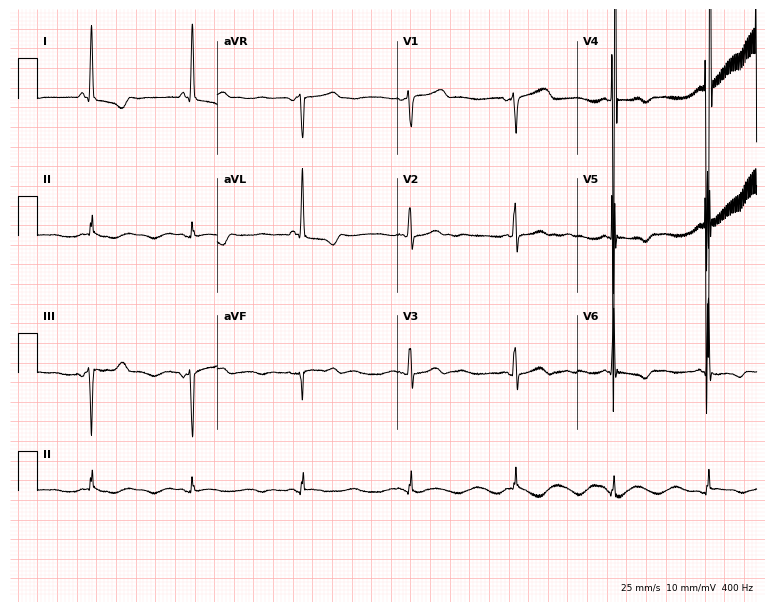
Resting 12-lead electrocardiogram (7.3-second recording at 400 Hz). Patient: a woman, 57 years old. None of these six findings is recorded: first-degree AV block, right bundle branch block, left bundle branch block, sinus bradycardia, atrial fibrillation, sinus tachycardia.